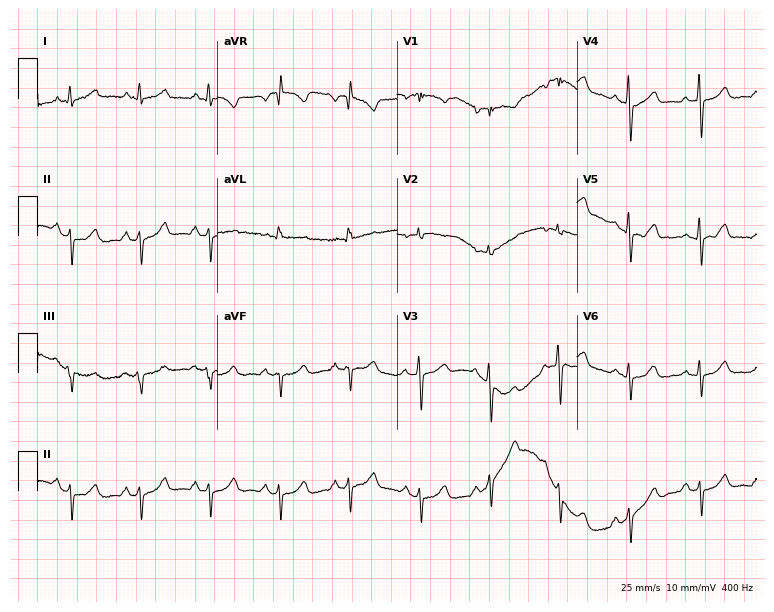
12-lead ECG from a female patient, 57 years old. Screened for six findings — first-degree AV block, right bundle branch block (RBBB), left bundle branch block (LBBB), sinus bradycardia, atrial fibrillation (AF), sinus tachycardia — none is recorded.